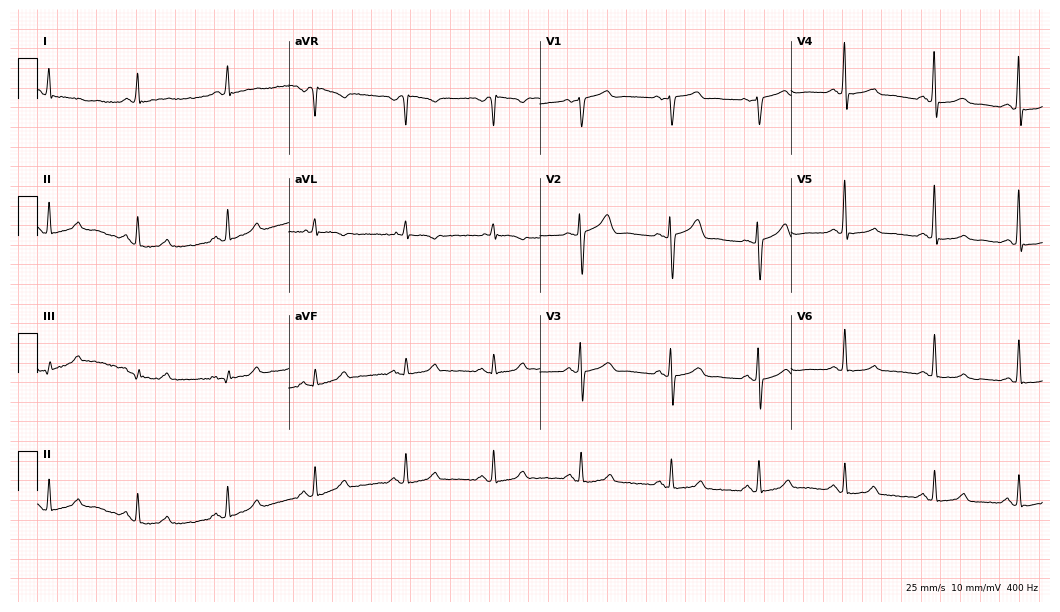
ECG (10.2-second recording at 400 Hz) — a female patient, 65 years old. Labelled as a normal ECG.